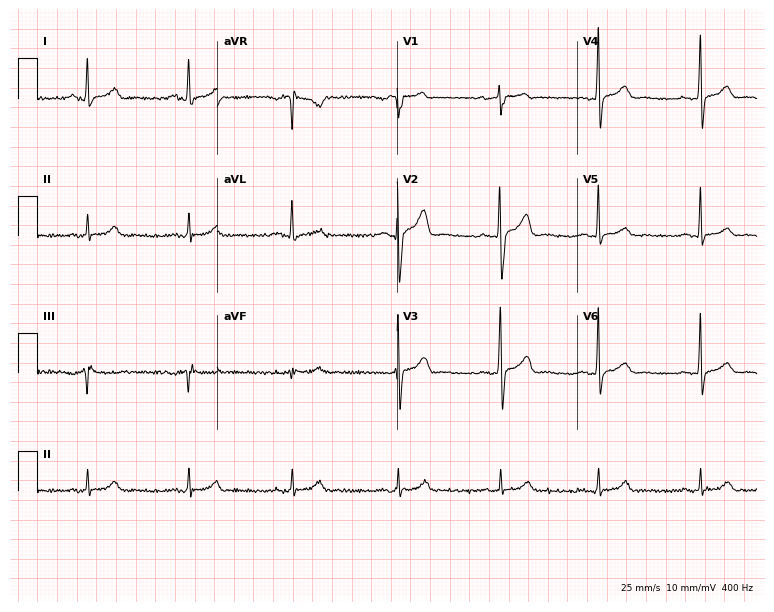
12-lead ECG from a male, 40 years old (7.3-second recording at 400 Hz). Recorded interpretation: within normal limits.